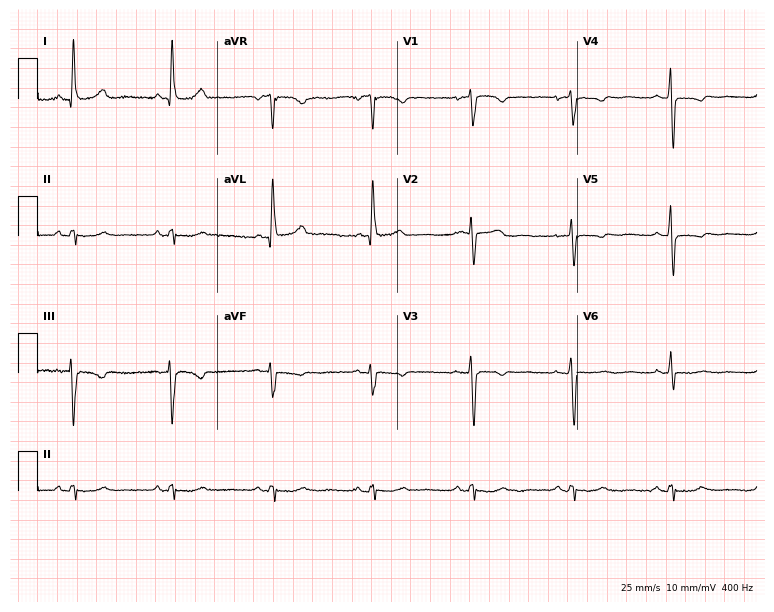
Standard 12-lead ECG recorded from a female patient, 63 years old (7.3-second recording at 400 Hz). None of these six findings is recorded: first-degree AV block, right bundle branch block, left bundle branch block, sinus bradycardia, atrial fibrillation, sinus tachycardia.